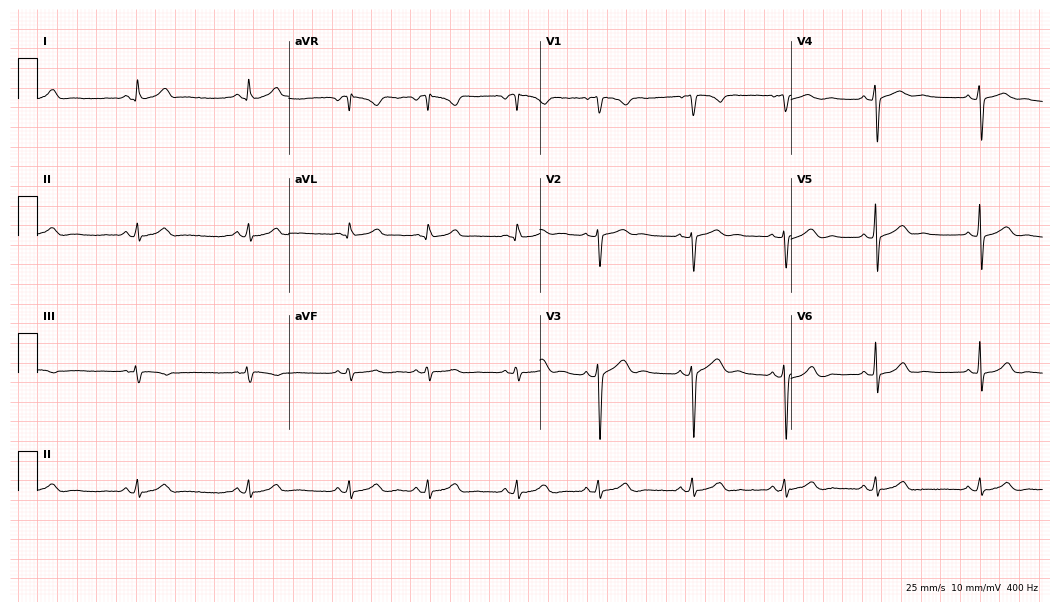
Standard 12-lead ECG recorded from a 22-year-old female. Read as a normal ECG.